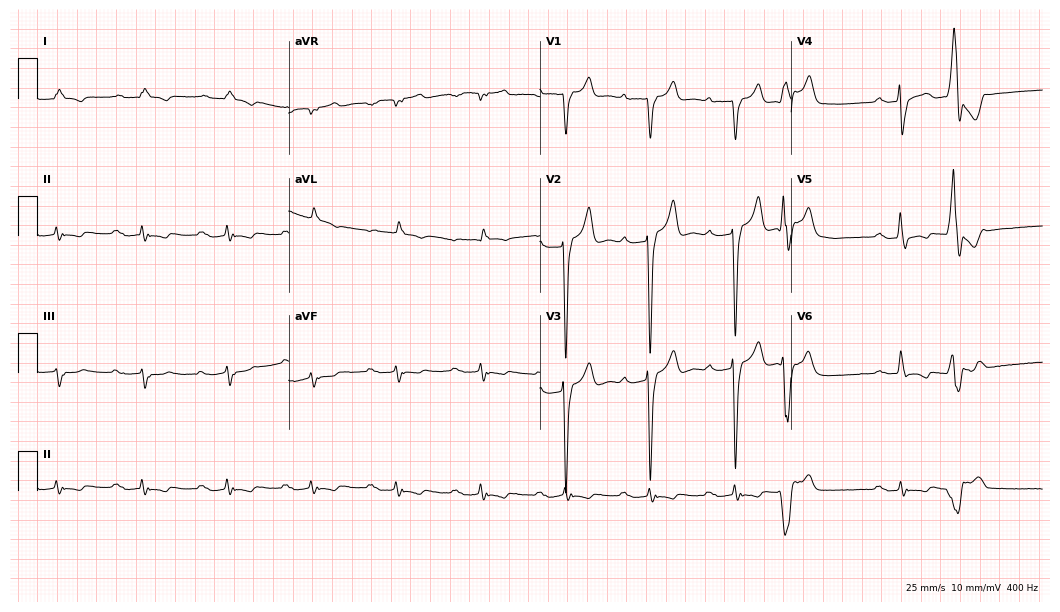
Electrocardiogram, a male patient, 42 years old. Of the six screened findings (first-degree AV block, right bundle branch block, left bundle branch block, sinus bradycardia, atrial fibrillation, sinus tachycardia), none is recorded. Only these six findings were labelled.